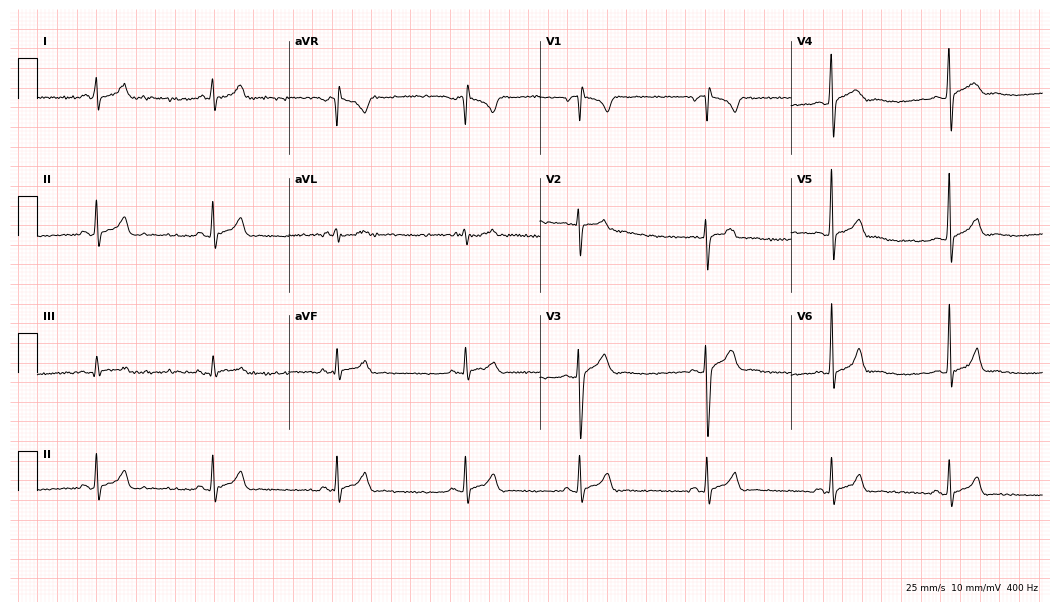
Standard 12-lead ECG recorded from a man, 17 years old. The tracing shows sinus bradycardia (a sinus rate of 50 beats per minute or less).